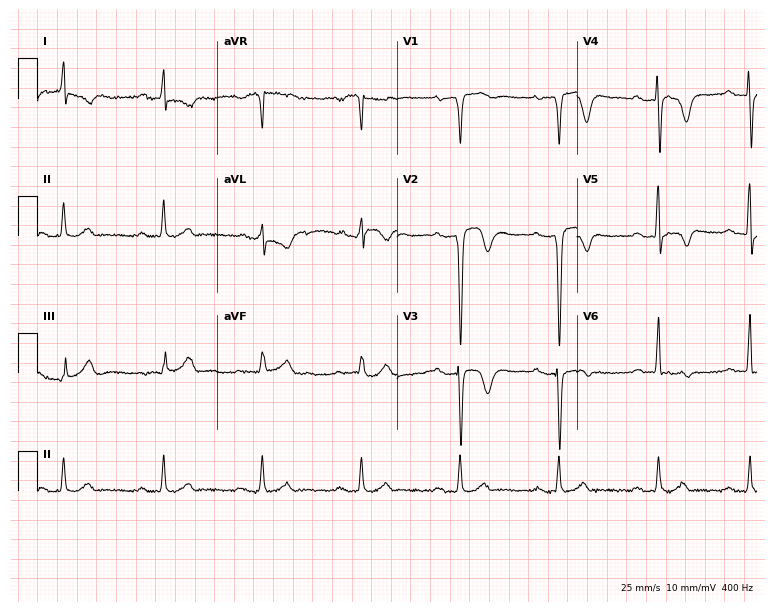
Standard 12-lead ECG recorded from a 55-year-old male patient (7.3-second recording at 400 Hz). The tracing shows first-degree AV block.